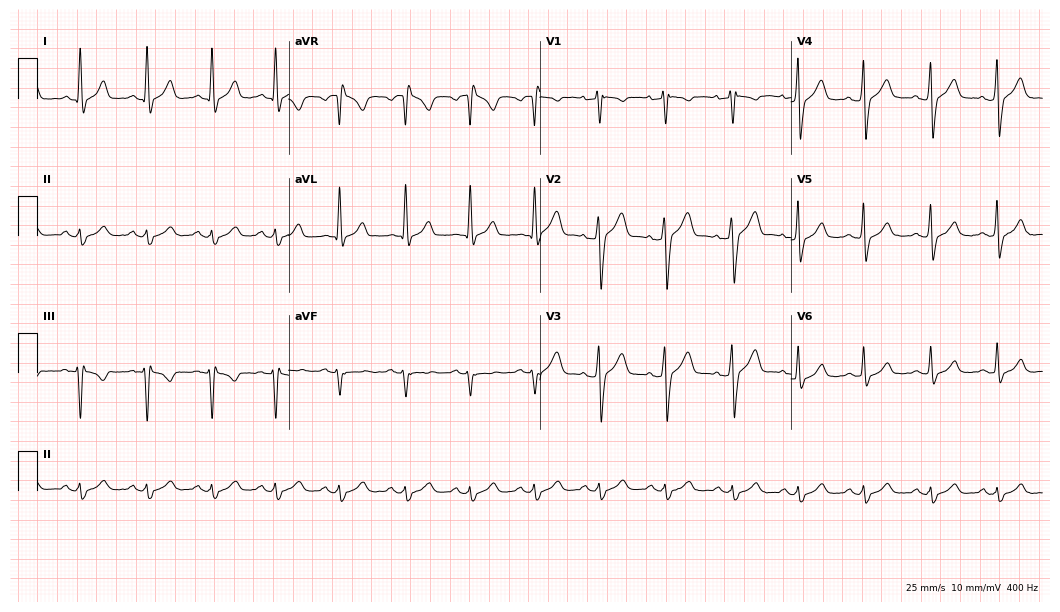
Electrocardiogram (10.2-second recording at 400 Hz), a 41-year-old male. Of the six screened findings (first-degree AV block, right bundle branch block, left bundle branch block, sinus bradycardia, atrial fibrillation, sinus tachycardia), none is recorded. Only these six findings were labelled.